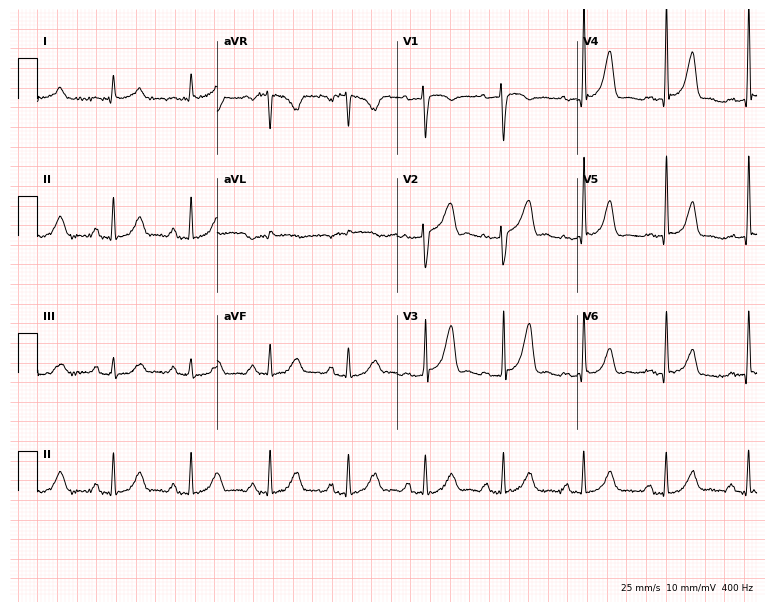
Standard 12-lead ECG recorded from a 58-year-old male (7.3-second recording at 400 Hz). None of these six findings is recorded: first-degree AV block, right bundle branch block, left bundle branch block, sinus bradycardia, atrial fibrillation, sinus tachycardia.